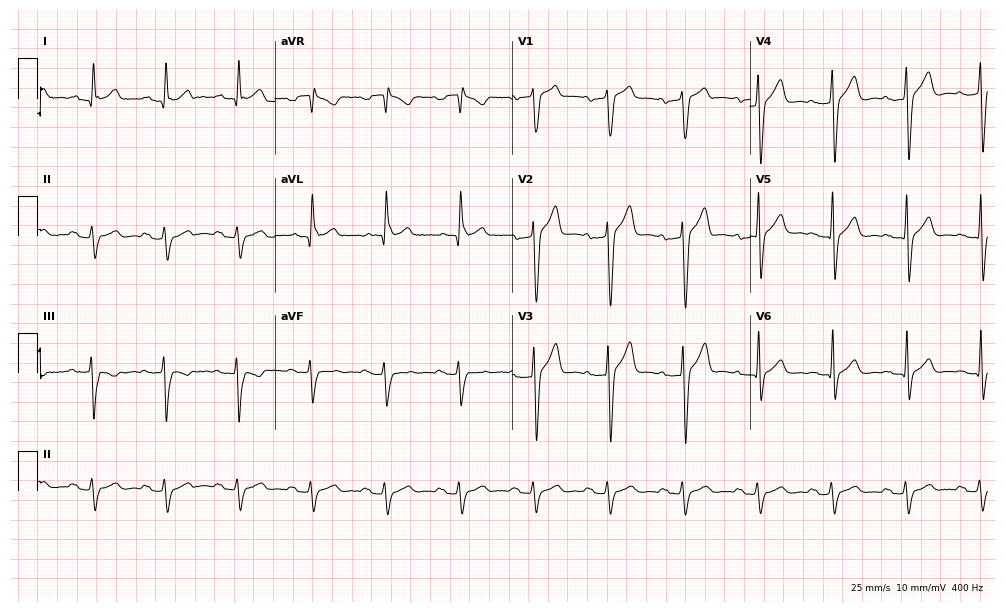
Electrocardiogram, a 60-year-old male. Interpretation includes first-degree AV block.